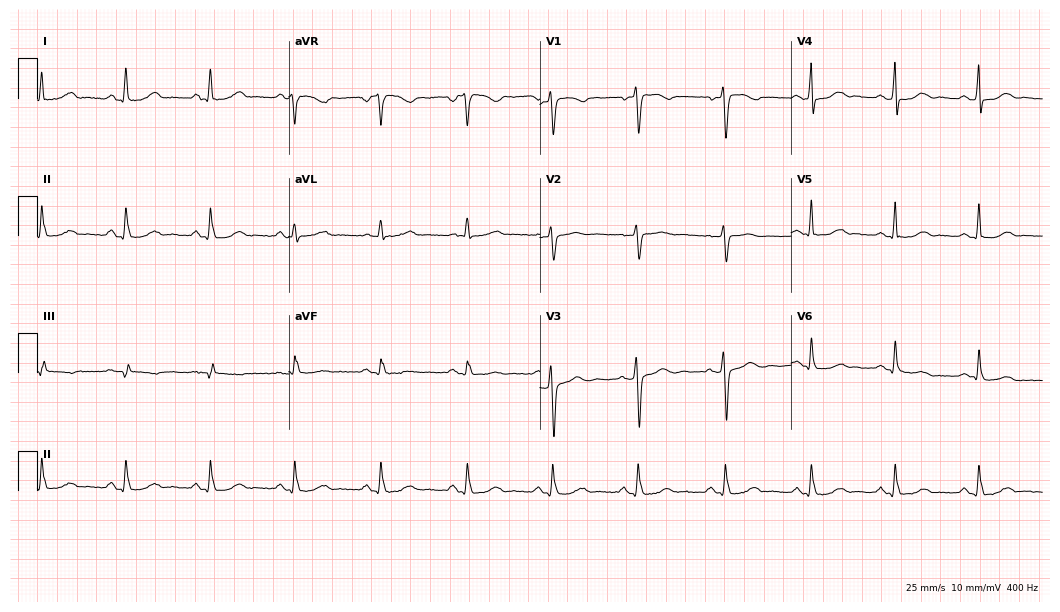
Standard 12-lead ECG recorded from a 49-year-old woman. Read as a normal ECG.